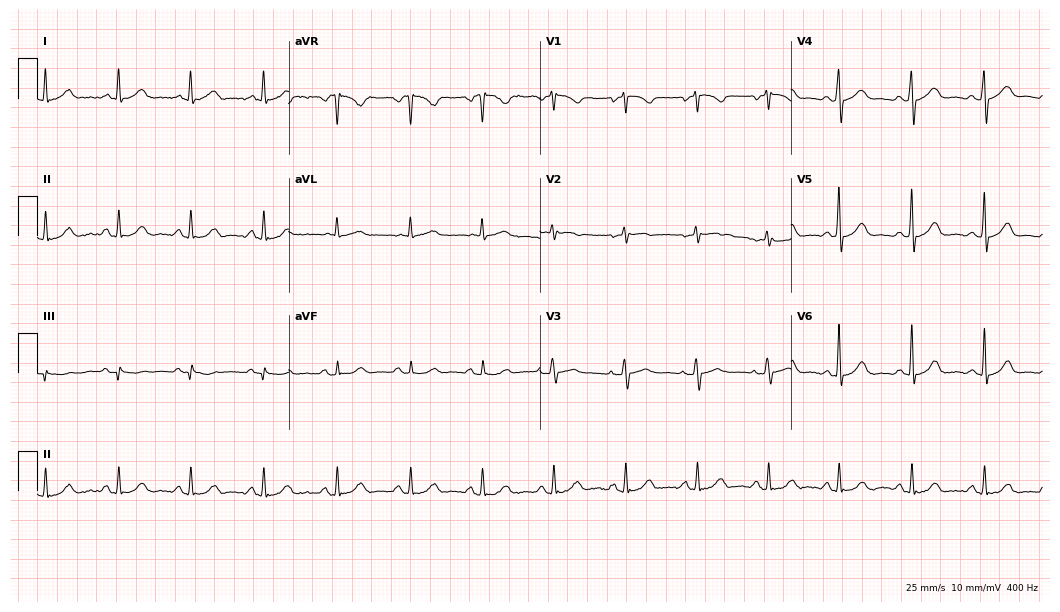
Standard 12-lead ECG recorded from a woman, 64 years old (10.2-second recording at 400 Hz). Read as a normal ECG.